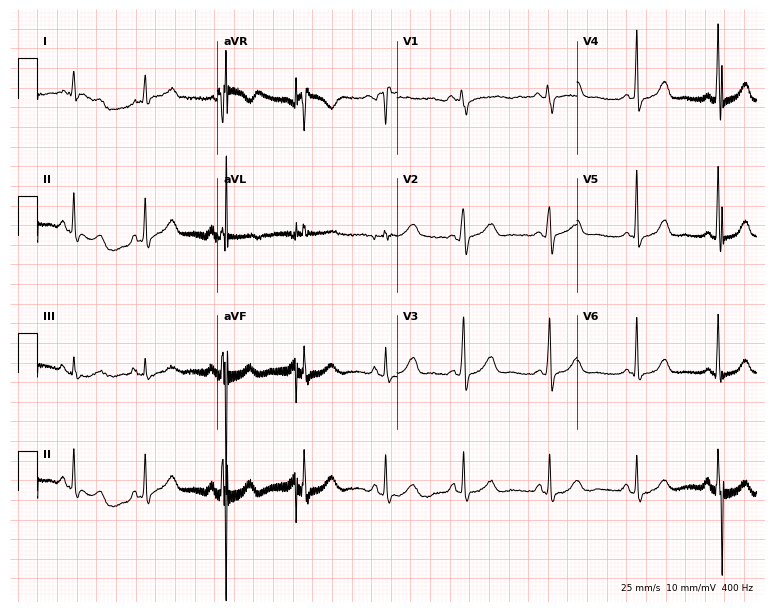
12-lead ECG from a 44-year-old woman (7.3-second recording at 400 Hz). Recorded interpretation: within normal limits.